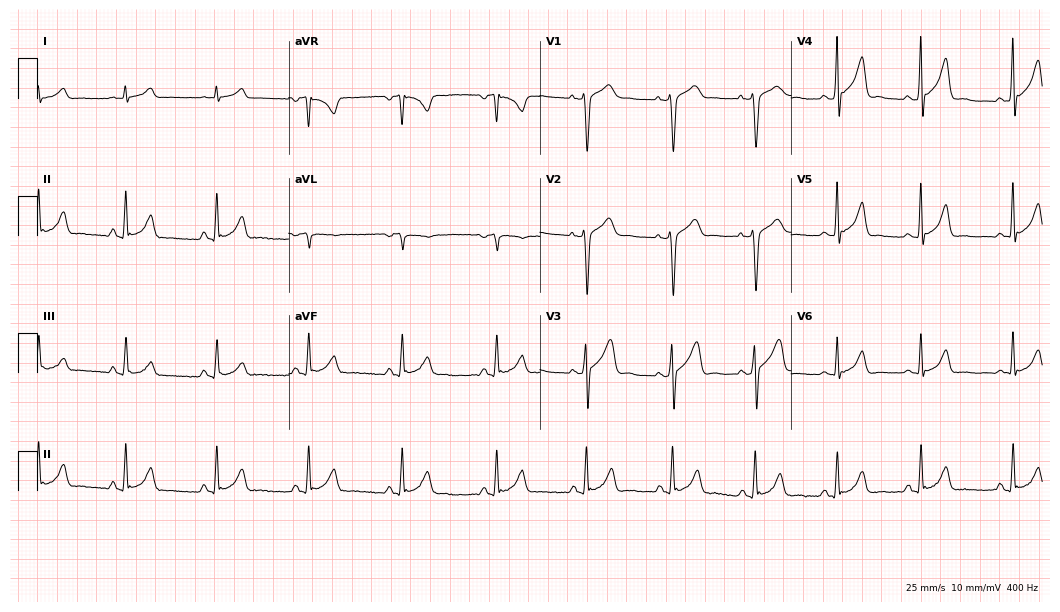
12-lead ECG from a 47-year-old male. Labelled as a normal ECG.